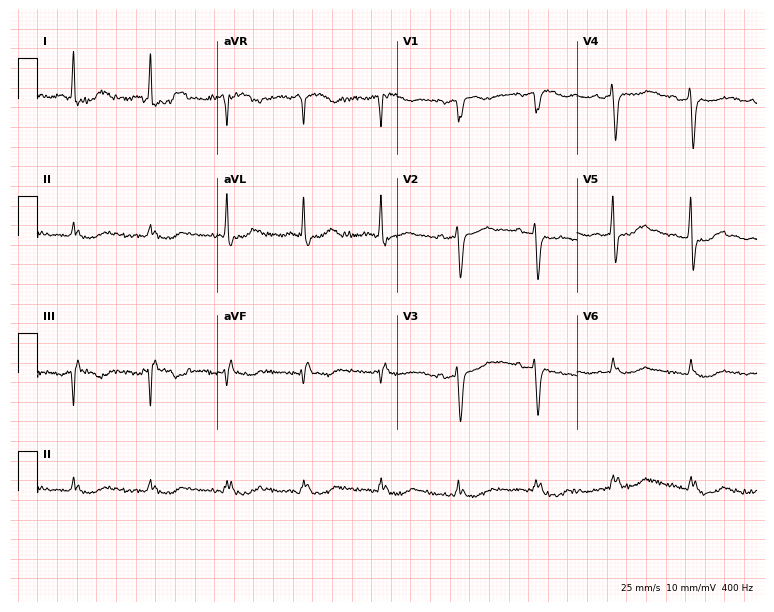
12-lead ECG from a 70-year-old woman. No first-degree AV block, right bundle branch block (RBBB), left bundle branch block (LBBB), sinus bradycardia, atrial fibrillation (AF) or sinus tachycardia recorded for this tracing.